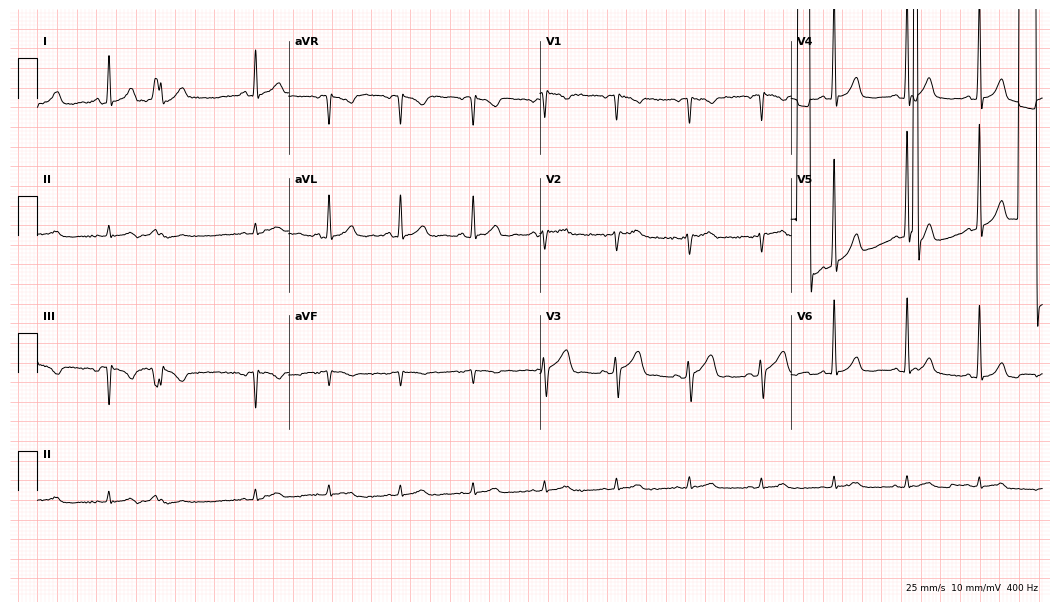
12-lead ECG from an 84-year-old woman. No first-degree AV block, right bundle branch block (RBBB), left bundle branch block (LBBB), sinus bradycardia, atrial fibrillation (AF) or sinus tachycardia recorded for this tracing. Other findings, if any, are not listed.